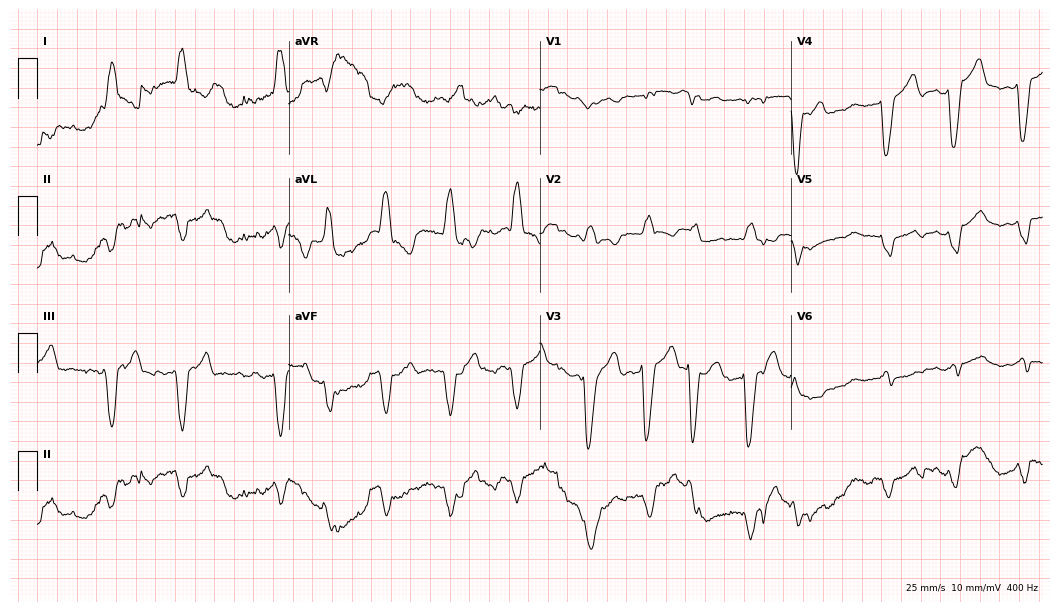
Standard 12-lead ECG recorded from a 70-year-old woman (10.2-second recording at 400 Hz). None of these six findings is recorded: first-degree AV block, right bundle branch block, left bundle branch block, sinus bradycardia, atrial fibrillation, sinus tachycardia.